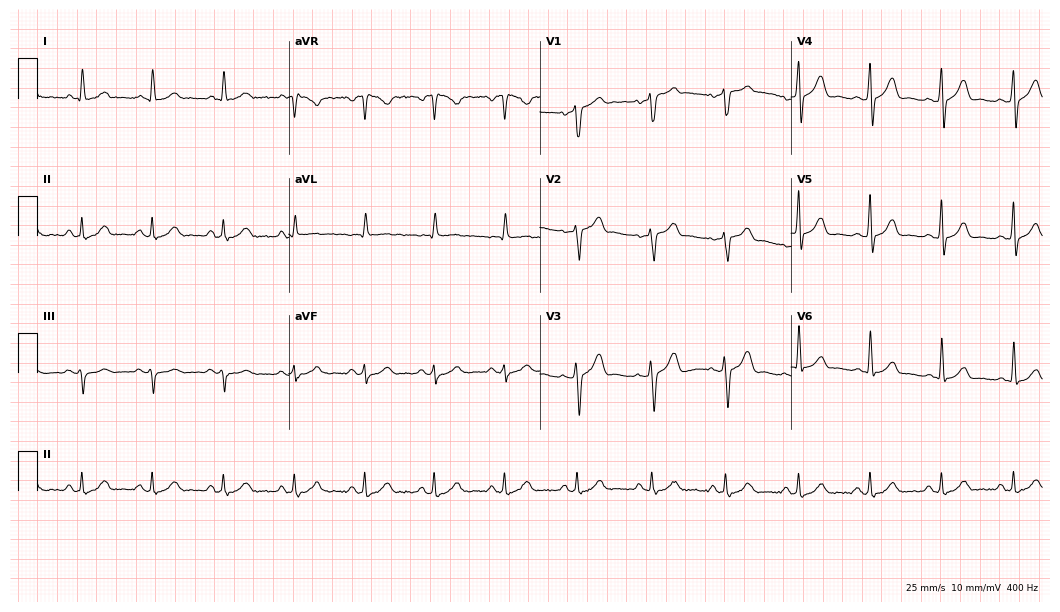
12-lead ECG from a male, 64 years old (10.2-second recording at 400 Hz). Recorded interpretation: within normal limits.